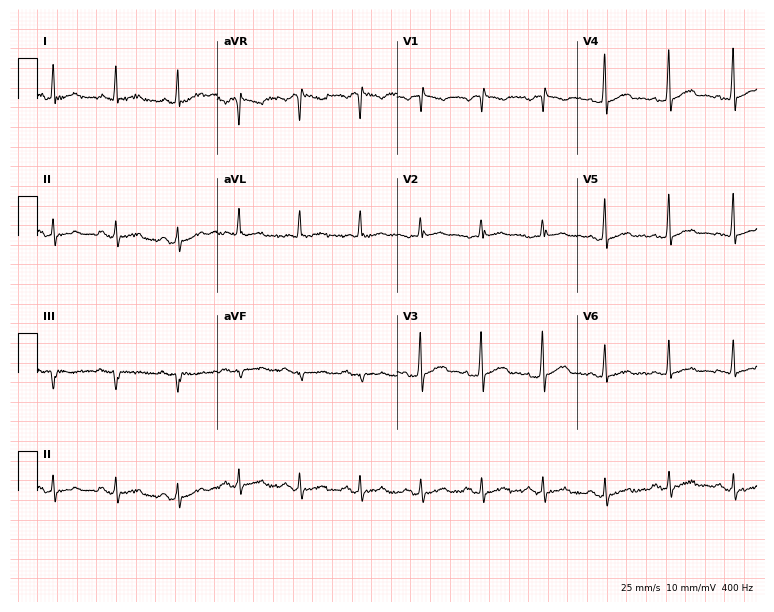
Resting 12-lead electrocardiogram (7.3-second recording at 400 Hz). Patient: a male, 62 years old. Read as a normal ECG.